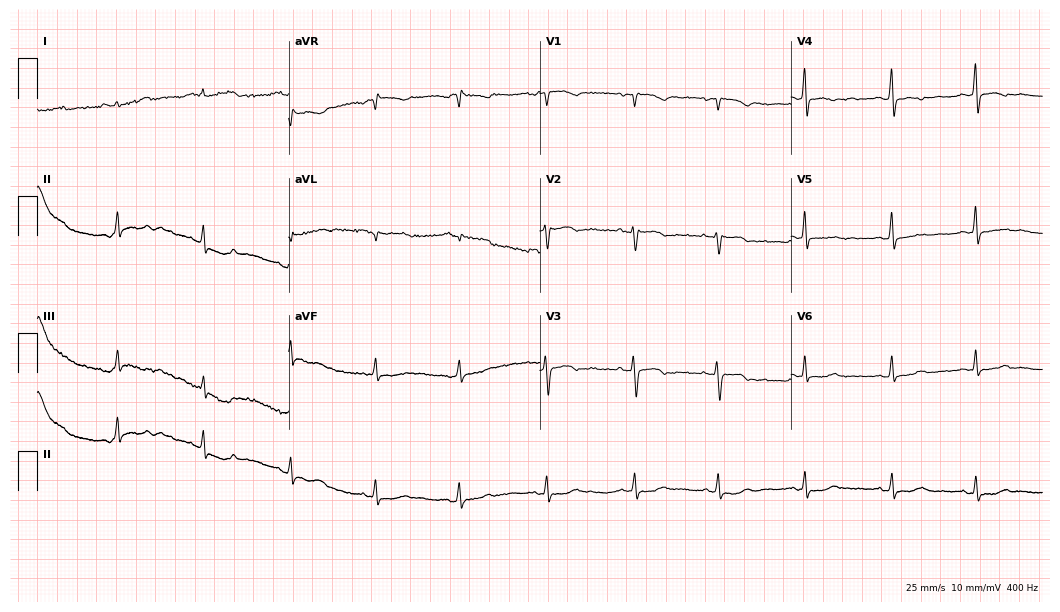
Standard 12-lead ECG recorded from a 55-year-old woman (10.2-second recording at 400 Hz). None of these six findings is recorded: first-degree AV block, right bundle branch block, left bundle branch block, sinus bradycardia, atrial fibrillation, sinus tachycardia. Findings outside these six are not listed.